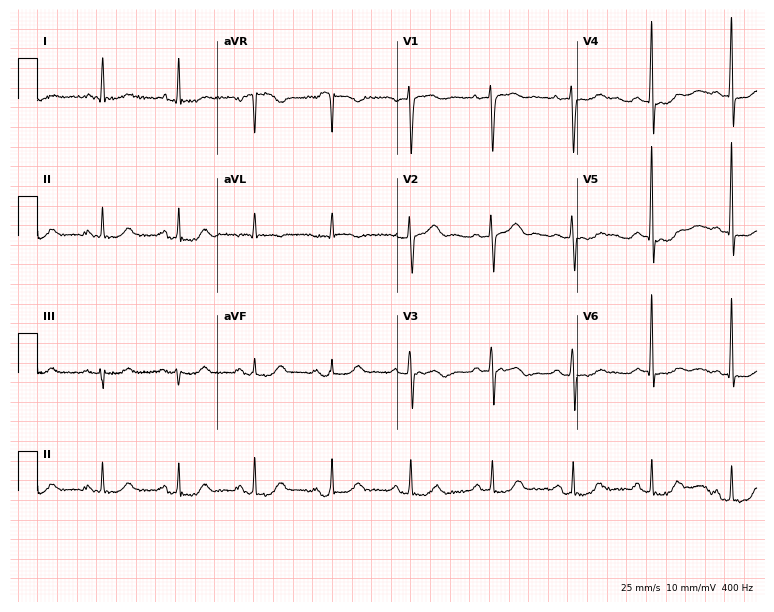
Electrocardiogram (7.3-second recording at 400 Hz), a female patient, 61 years old. Overall reading on record: normal ECG.